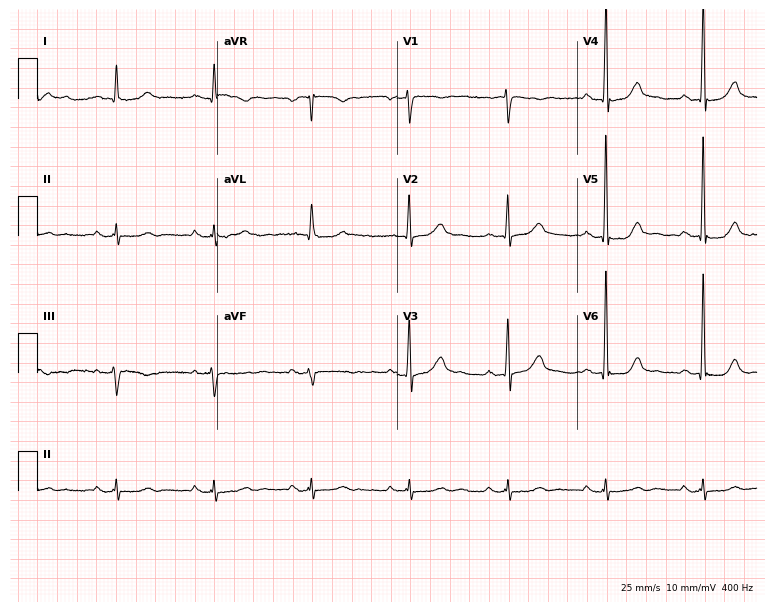
Standard 12-lead ECG recorded from a male patient, 75 years old. Read as a normal ECG.